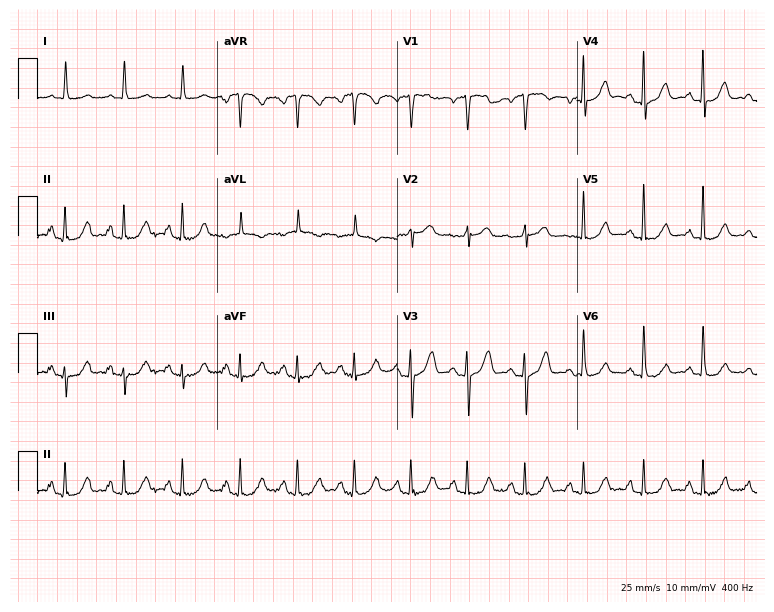
Electrocardiogram (7.3-second recording at 400 Hz), a woman, 64 years old. Interpretation includes sinus tachycardia (a sinus rate of 100 beats per minute or more).